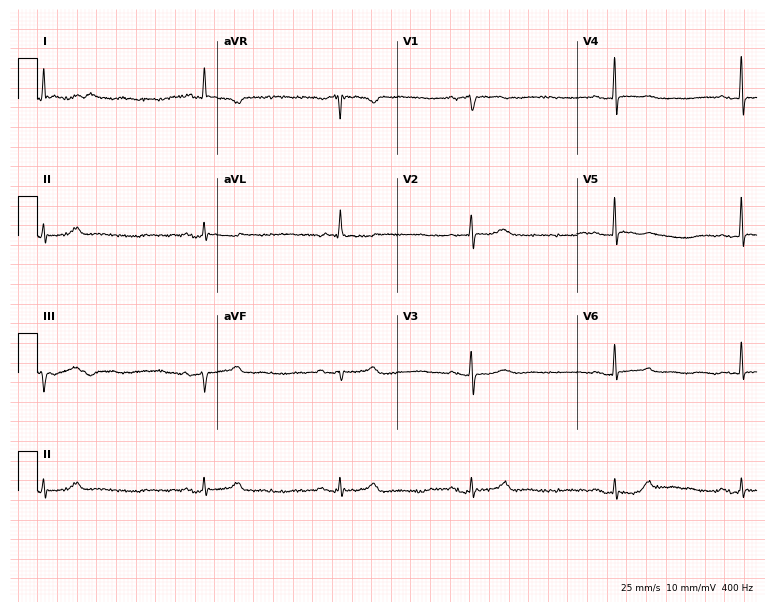
Standard 12-lead ECG recorded from a female patient, 82 years old. The tracing shows first-degree AV block, sinus bradycardia (a sinus rate of 50 beats per minute or less).